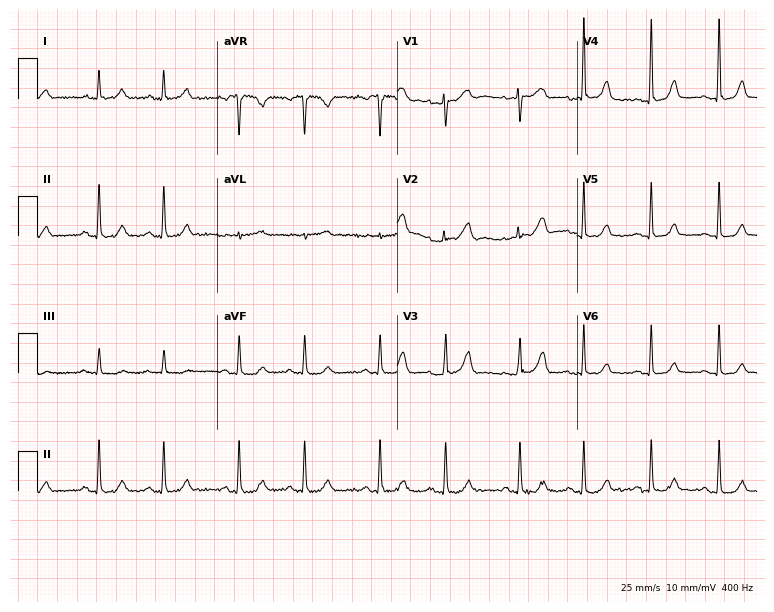
12-lead ECG from a 66-year-old female patient. Labelled as a normal ECG.